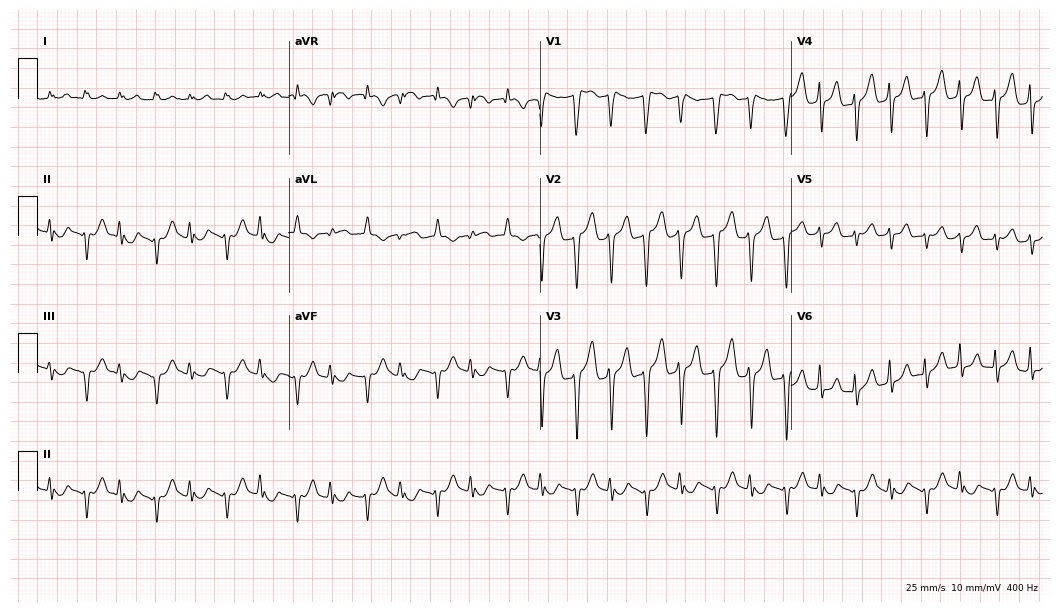
Standard 12-lead ECG recorded from a male, 49 years old. None of these six findings is recorded: first-degree AV block, right bundle branch block, left bundle branch block, sinus bradycardia, atrial fibrillation, sinus tachycardia. Other findings, if any, are not listed.